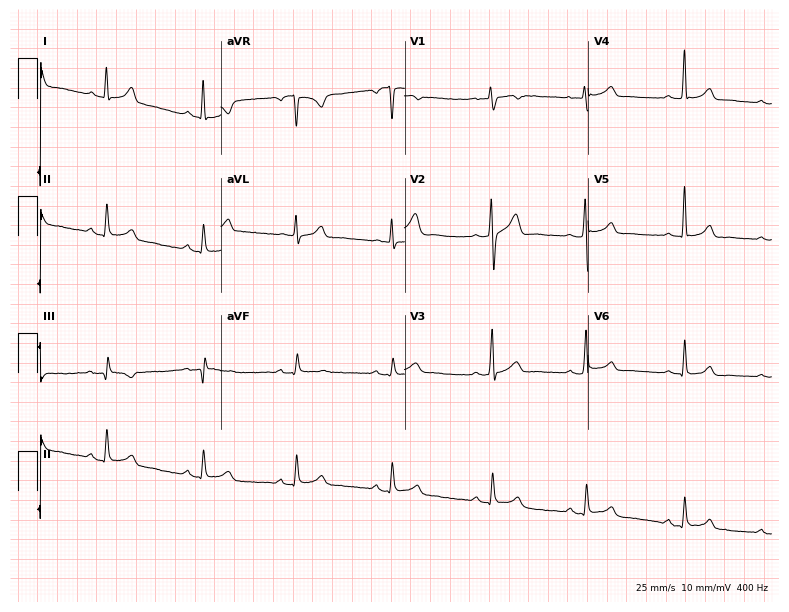
ECG (7.5-second recording at 400 Hz) — a 35-year-old male. Labelled as a normal ECG.